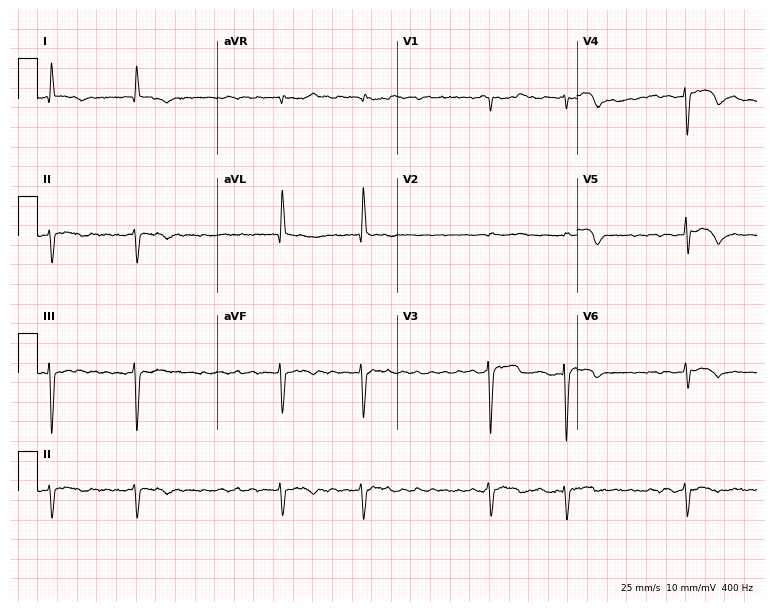
Electrocardiogram (7.3-second recording at 400 Hz), an 85-year-old female patient. Of the six screened findings (first-degree AV block, right bundle branch block (RBBB), left bundle branch block (LBBB), sinus bradycardia, atrial fibrillation (AF), sinus tachycardia), none is recorded. Only these six findings were labelled.